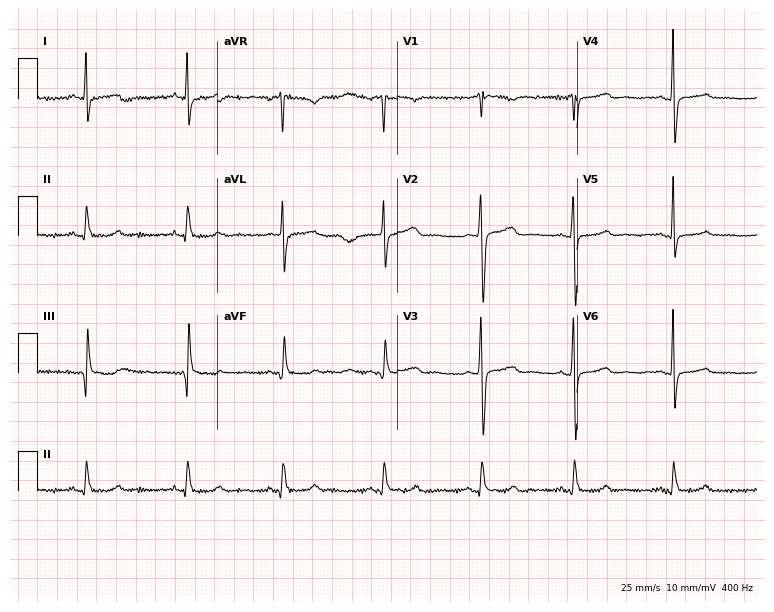
Standard 12-lead ECG recorded from a female, 51 years old. None of these six findings is recorded: first-degree AV block, right bundle branch block, left bundle branch block, sinus bradycardia, atrial fibrillation, sinus tachycardia. Only these six findings were labelled.